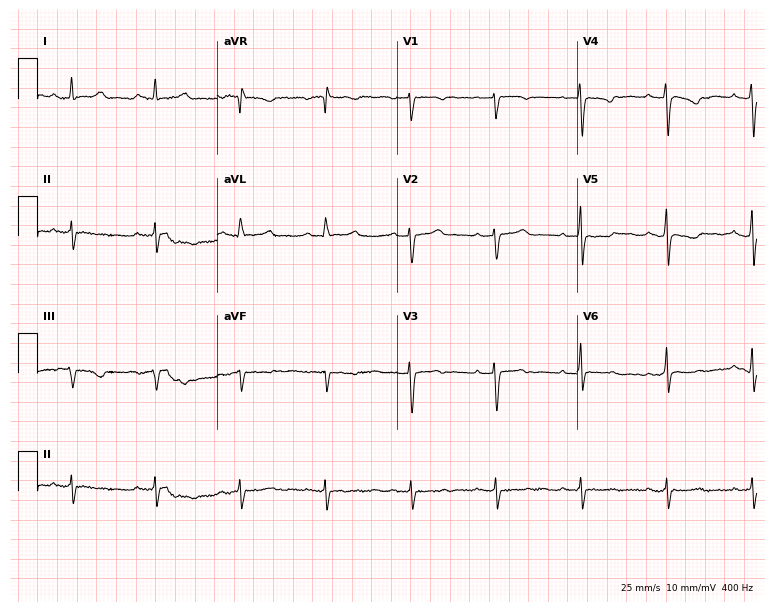
12-lead ECG from a 56-year-old woman. No first-degree AV block, right bundle branch block, left bundle branch block, sinus bradycardia, atrial fibrillation or sinus tachycardia recorded for this tracing. Only these six findings were labelled.